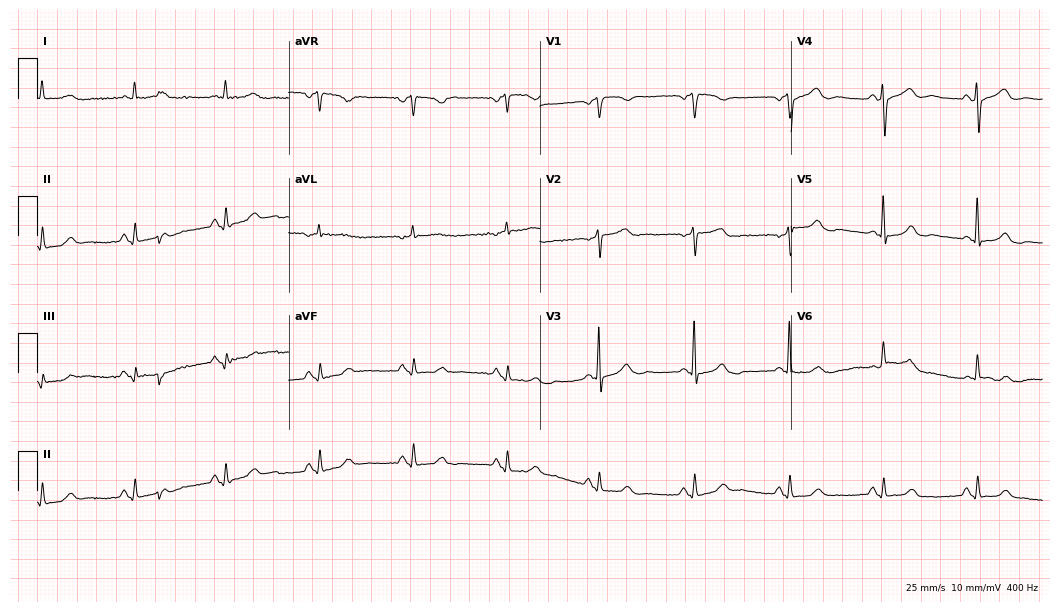
ECG (10.2-second recording at 400 Hz) — a 79-year-old female. Screened for six findings — first-degree AV block, right bundle branch block, left bundle branch block, sinus bradycardia, atrial fibrillation, sinus tachycardia — none is recorded. Findings outside these six are not listed.